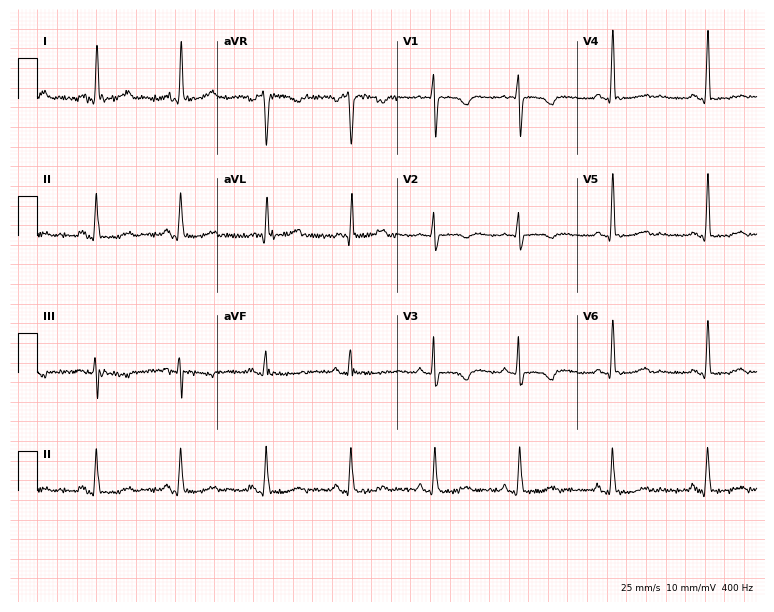
Electrocardiogram (7.3-second recording at 400 Hz), a 66-year-old female. Overall reading on record: normal ECG.